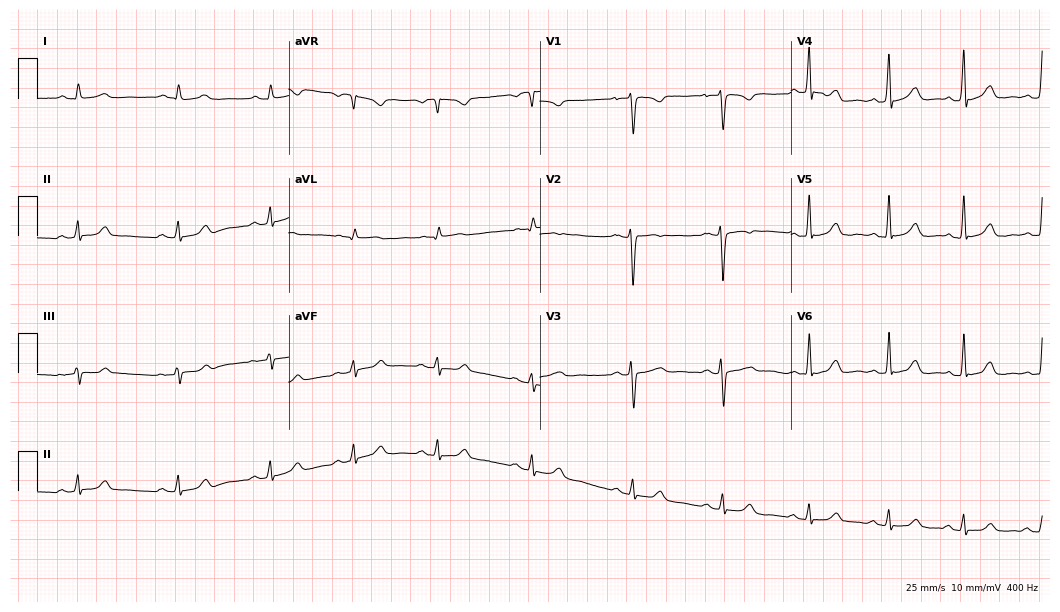
ECG — a female, 23 years old. Screened for six findings — first-degree AV block, right bundle branch block, left bundle branch block, sinus bradycardia, atrial fibrillation, sinus tachycardia — none is recorded. Findings outside these six are not listed.